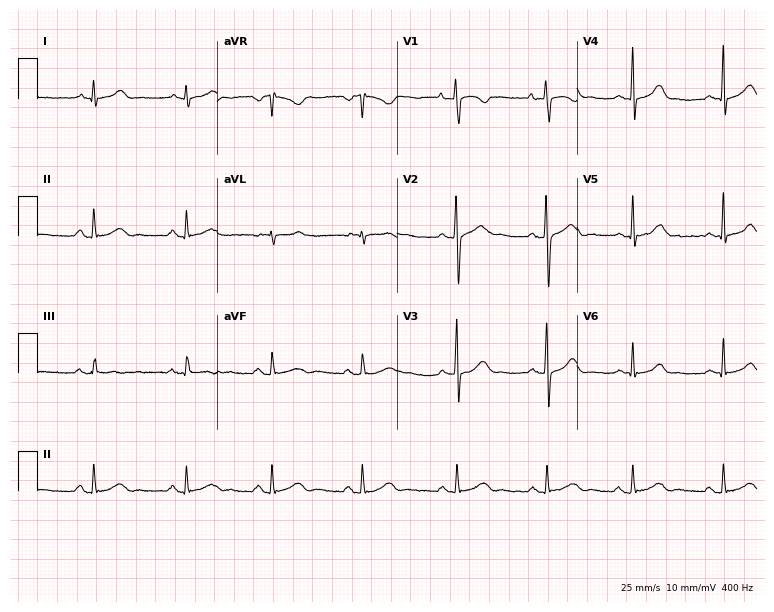
12-lead ECG from a 28-year-old female patient. Labelled as a normal ECG.